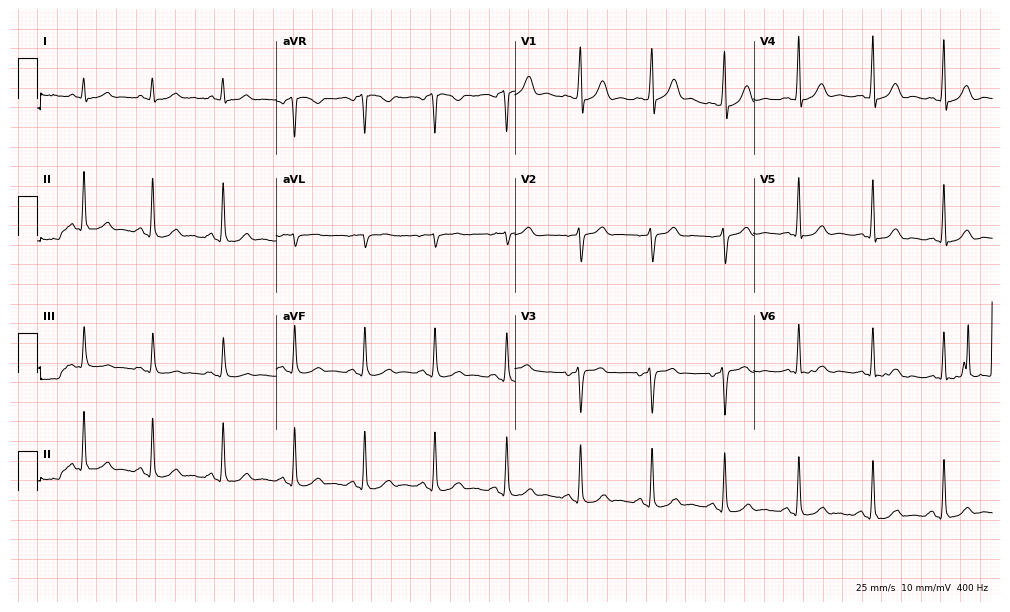
Standard 12-lead ECG recorded from a male patient, 56 years old. None of these six findings is recorded: first-degree AV block, right bundle branch block, left bundle branch block, sinus bradycardia, atrial fibrillation, sinus tachycardia. Findings outside these six are not listed.